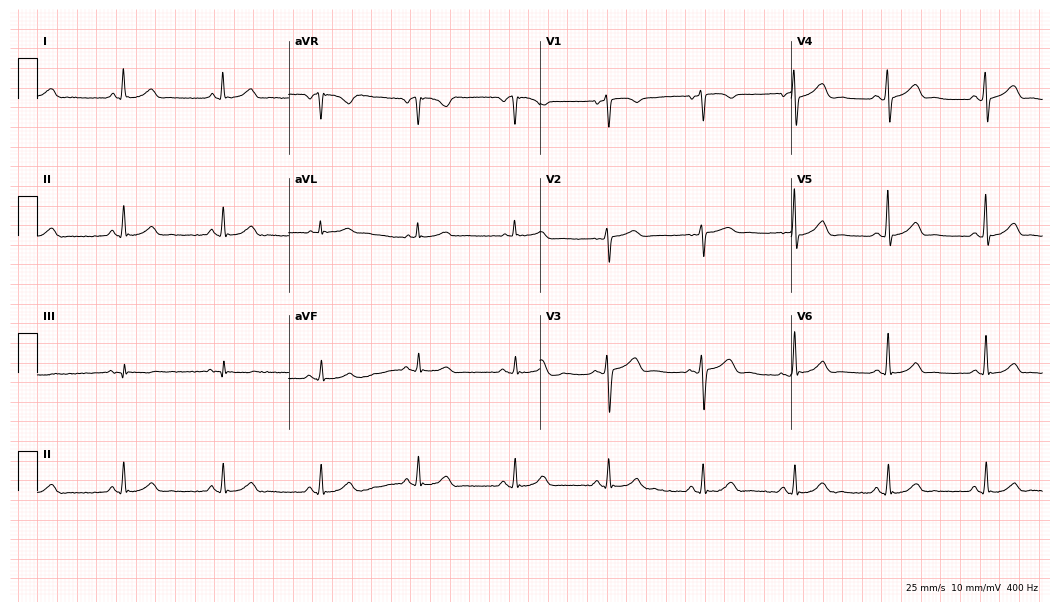
Resting 12-lead electrocardiogram. Patient: a 63-year-old male. Read as a normal ECG.